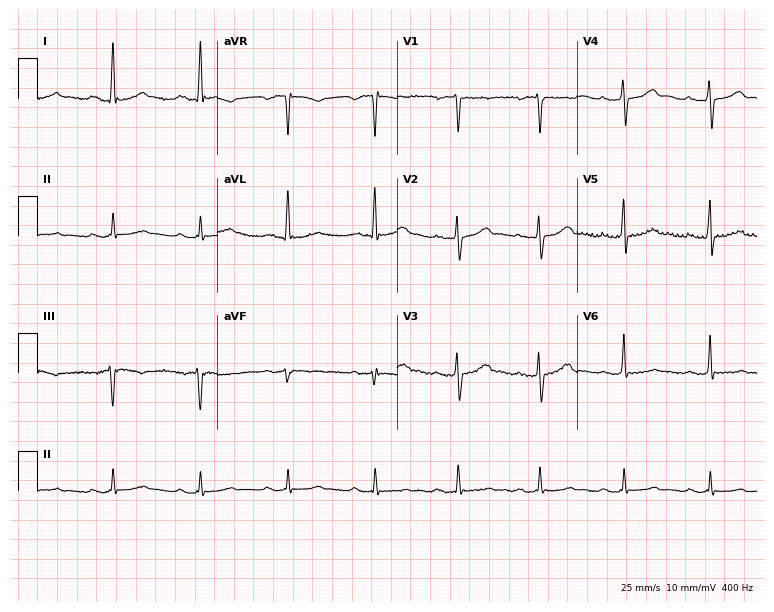
12-lead ECG from a woman, 60 years old. Findings include first-degree AV block.